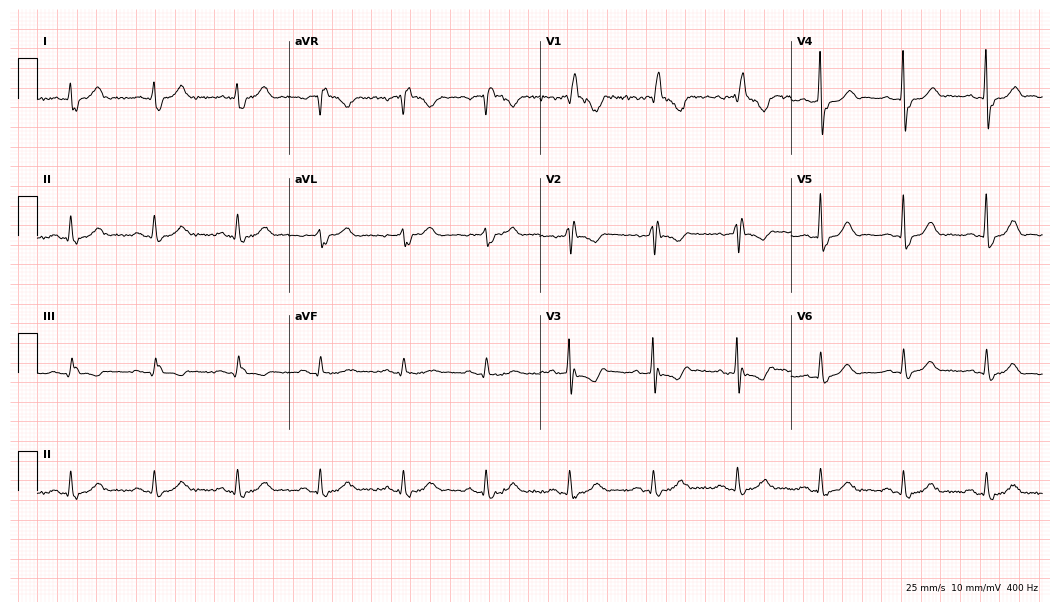
Standard 12-lead ECG recorded from an 82-year-old man (10.2-second recording at 400 Hz). The tracing shows right bundle branch block.